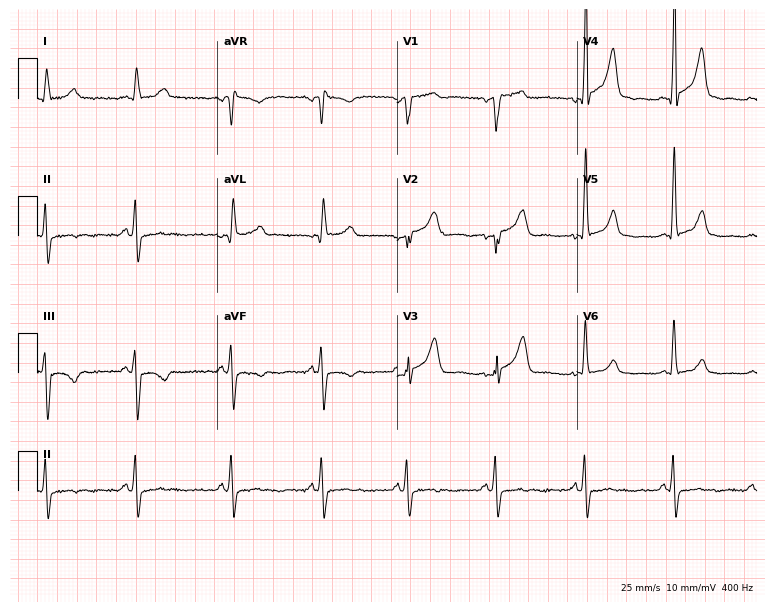
ECG — a 78-year-old male patient. Screened for six findings — first-degree AV block, right bundle branch block (RBBB), left bundle branch block (LBBB), sinus bradycardia, atrial fibrillation (AF), sinus tachycardia — none is recorded.